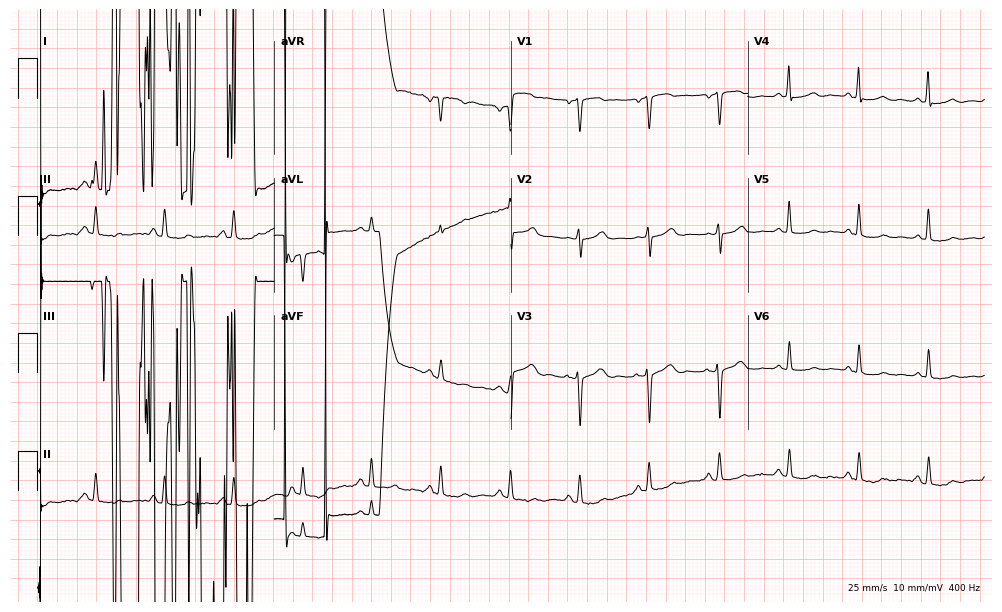
12-lead ECG from a male, 71 years old. Screened for six findings — first-degree AV block, right bundle branch block, left bundle branch block, sinus bradycardia, atrial fibrillation, sinus tachycardia — none is recorded. Findings outside these six are not listed.